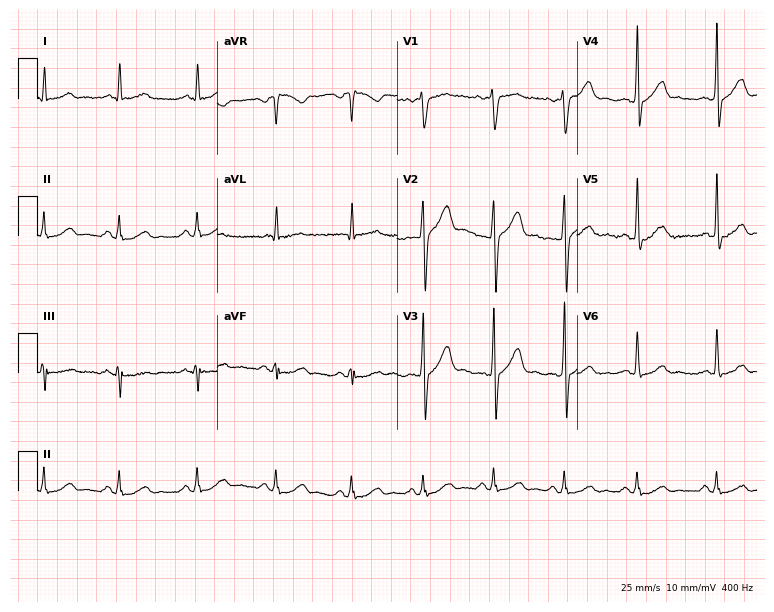
12-lead ECG from a 39-year-old man (7.3-second recording at 400 Hz). Recorded interpretation: within normal limits.